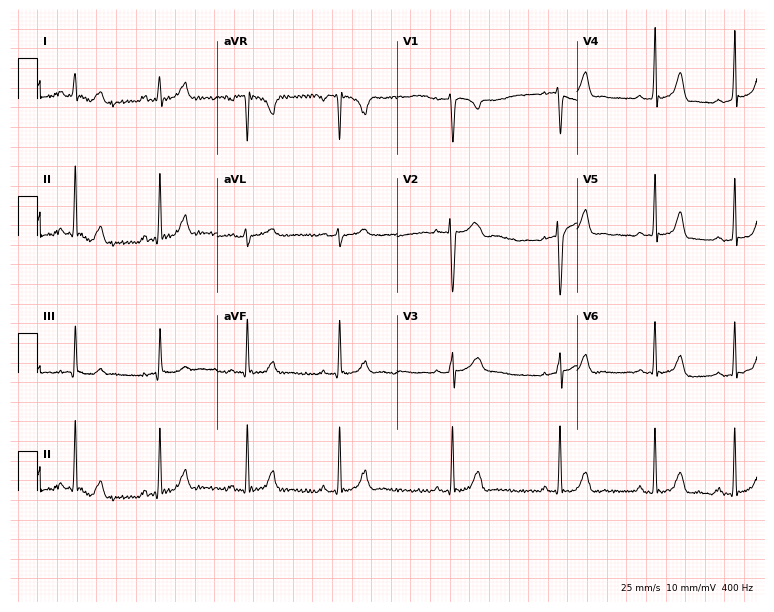
Electrocardiogram (7.3-second recording at 400 Hz), an 18-year-old female patient. Overall reading on record: normal ECG.